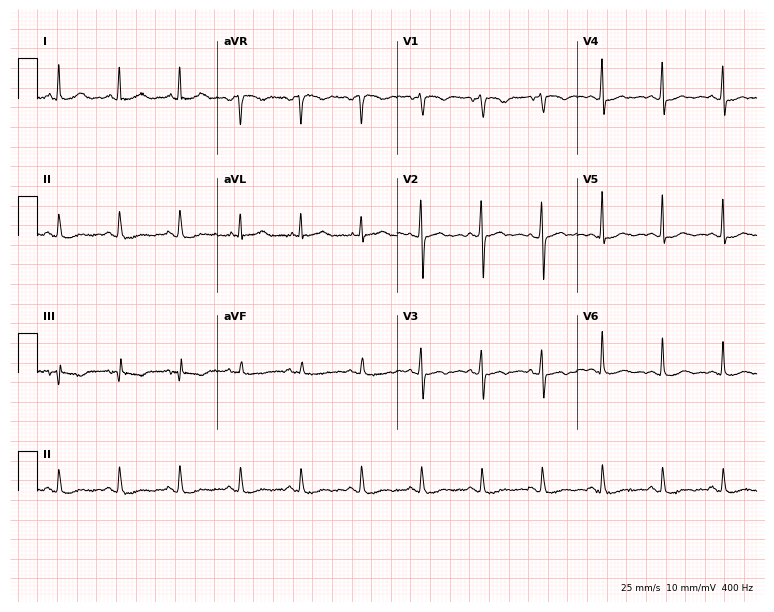
Resting 12-lead electrocardiogram (7.3-second recording at 400 Hz). Patient: a 78-year-old female. None of these six findings is recorded: first-degree AV block, right bundle branch block, left bundle branch block, sinus bradycardia, atrial fibrillation, sinus tachycardia.